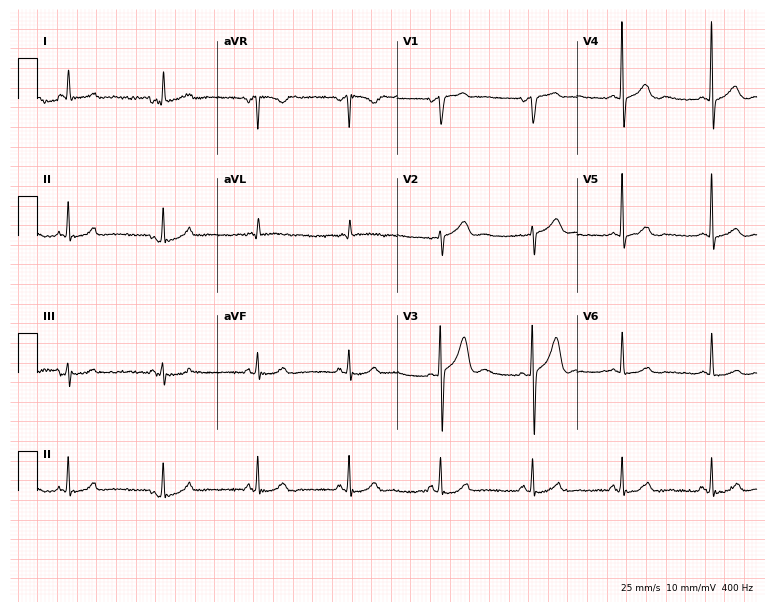
12-lead ECG (7.3-second recording at 400 Hz) from a 79-year-old man. Labelled as a normal ECG.